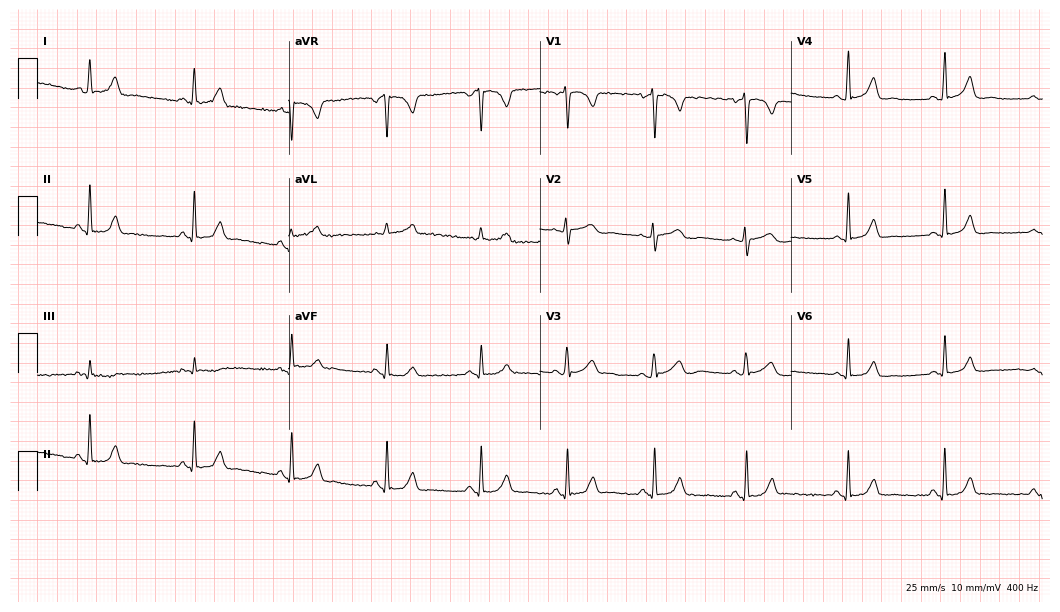
ECG (10.2-second recording at 400 Hz) — a female patient, 27 years old. Labelled as a normal ECG.